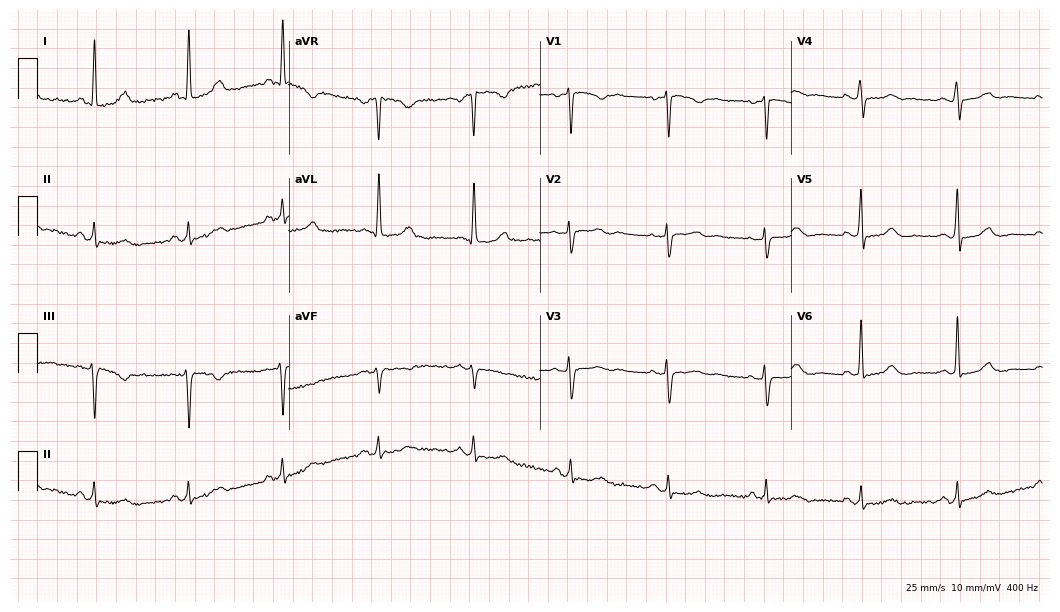
Electrocardiogram, a female, 66 years old. Of the six screened findings (first-degree AV block, right bundle branch block, left bundle branch block, sinus bradycardia, atrial fibrillation, sinus tachycardia), none is recorded. Other findings, if any, are not listed.